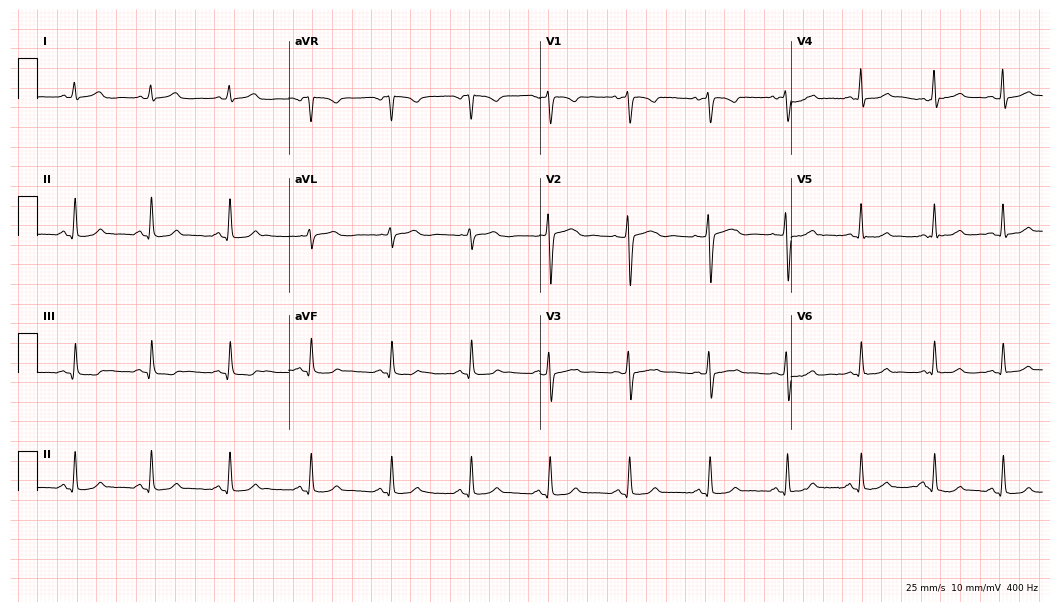
Resting 12-lead electrocardiogram. Patient: a 35-year-old female. Read as a normal ECG.